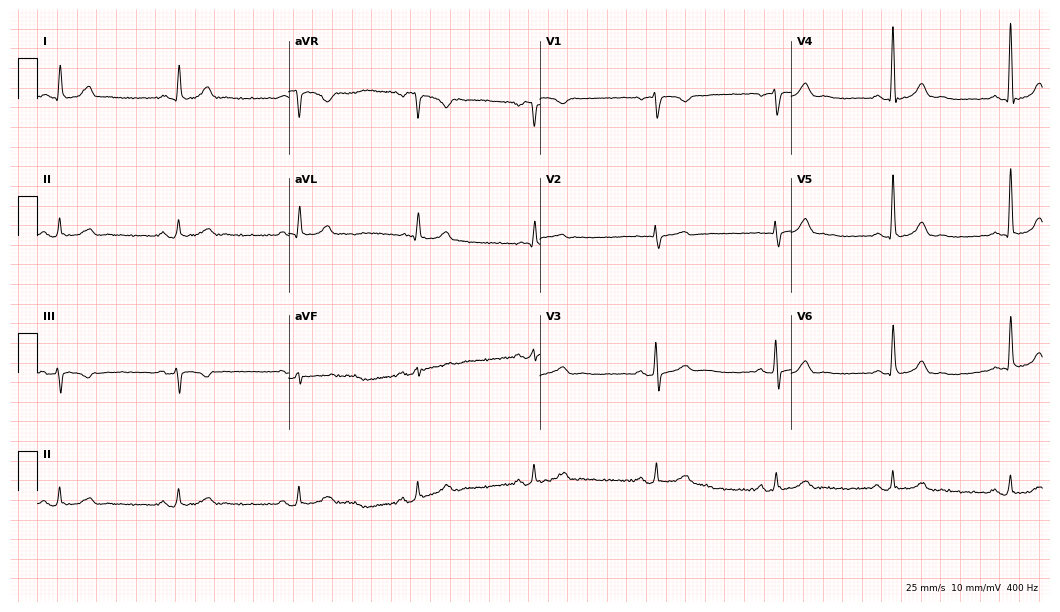
12-lead ECG from a 65-year-old man. Shows sinus bradycardia (a sinus rate of 50 beats per minute or less).